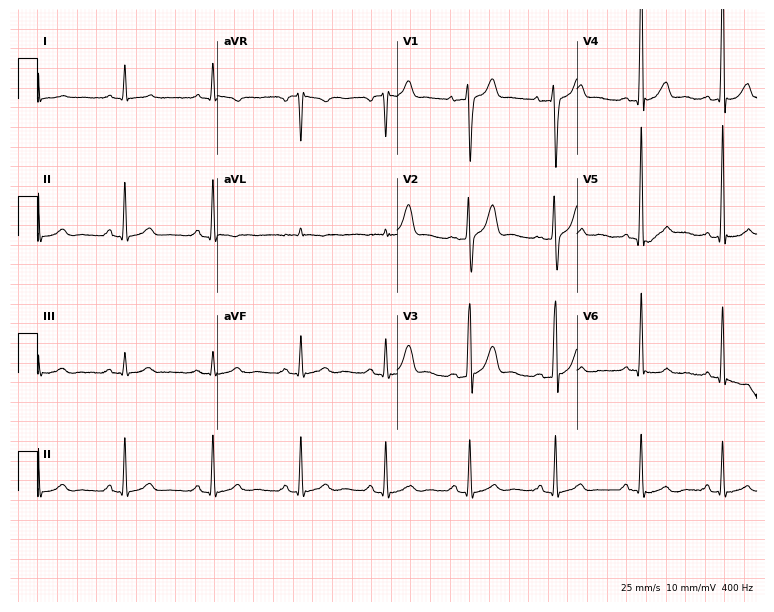
12-lead ECG (7.3-second recording at 400 Hz) from a 39-year-old male patient. Labelled as a normal ECG.